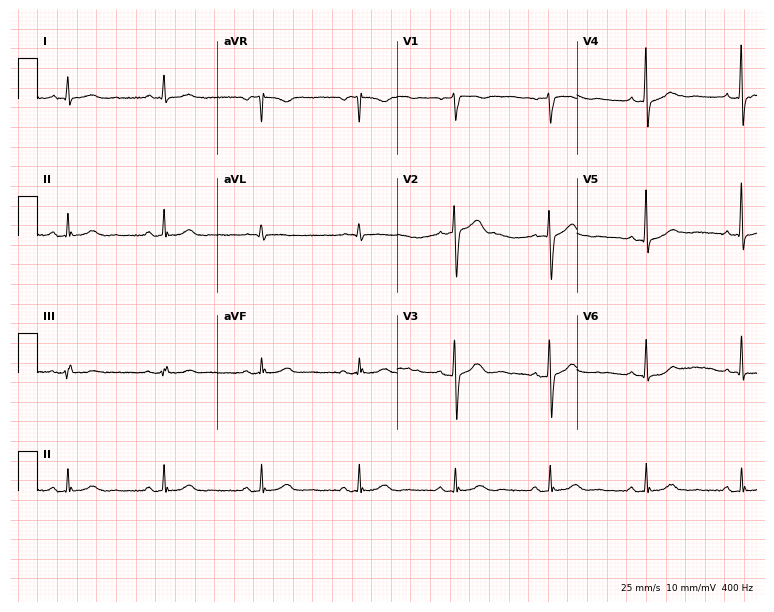
12-lead ECG (7.3-second recording at 400 Hz) from a 74-year-old male patient. Labelled as a normal ECG.